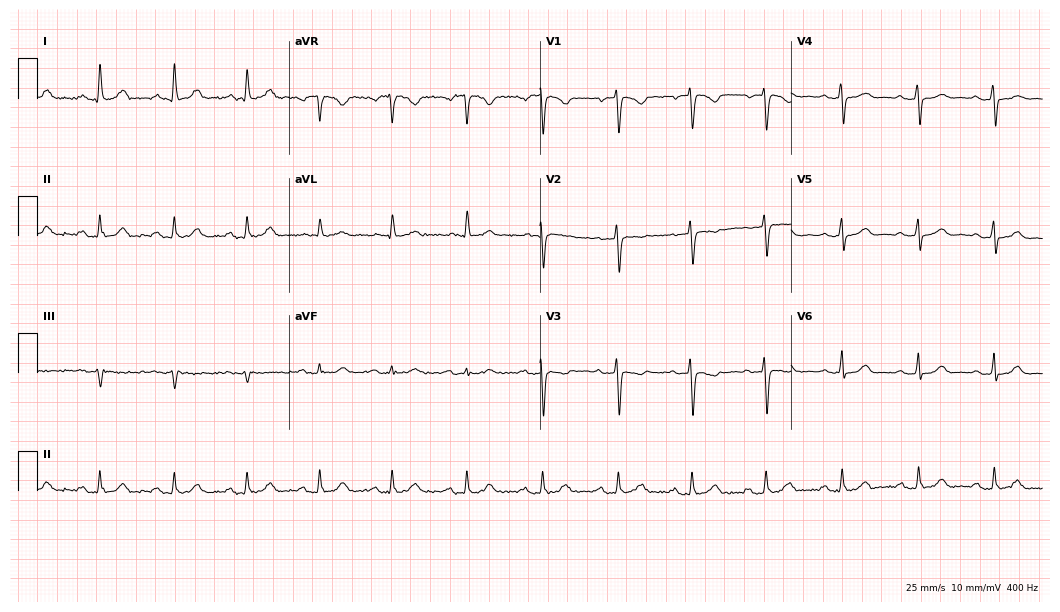
12-lead ECG from a 42-year-old female (10.2-second recording at 400 Hz). No first-degree AV block, right bundle branch block, left bundle branch block, sinus bradycardia, atrial fibrillation or sinus tachycardia recorded for this tracing.